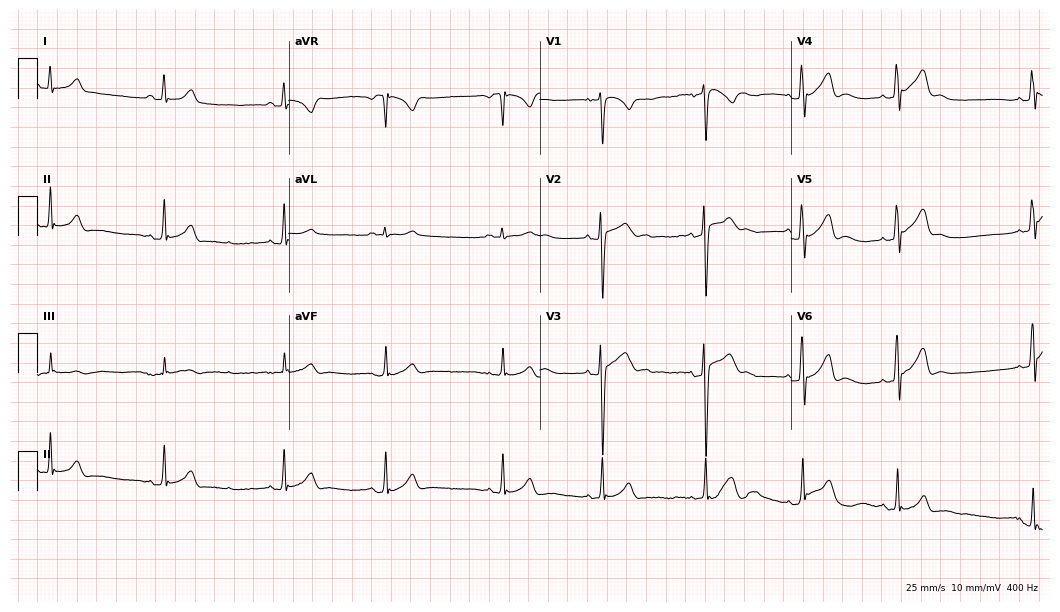
Standard 12-lead ECG recorded from a 20-year-old male patient (10.2-second recording at 400 Hz). Read as a normal ECG.